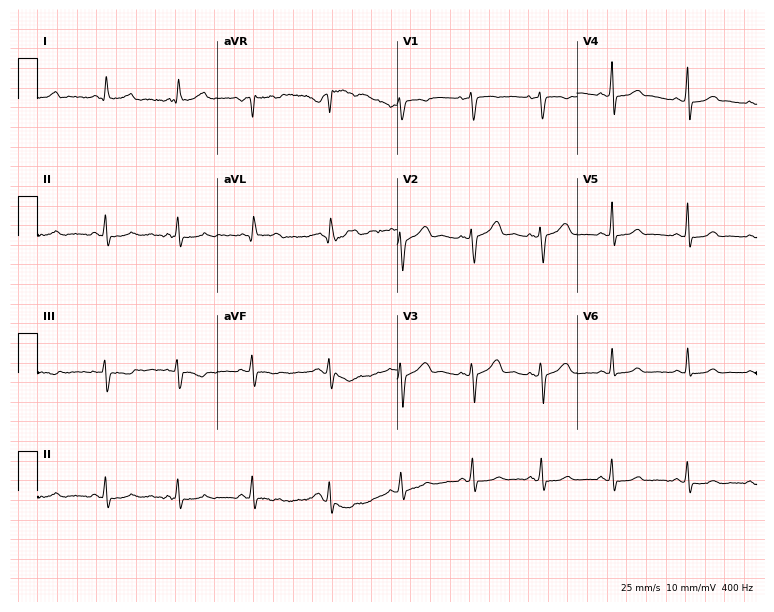
12-lead ECG from a woman, 29 years old. No first-degree AV block, right bundle branch block, left bundle branch block, sinus bradycardia, atrial fibrillation or sinus tachycardia recorded for this tracing. Findings outside these six are not listed.